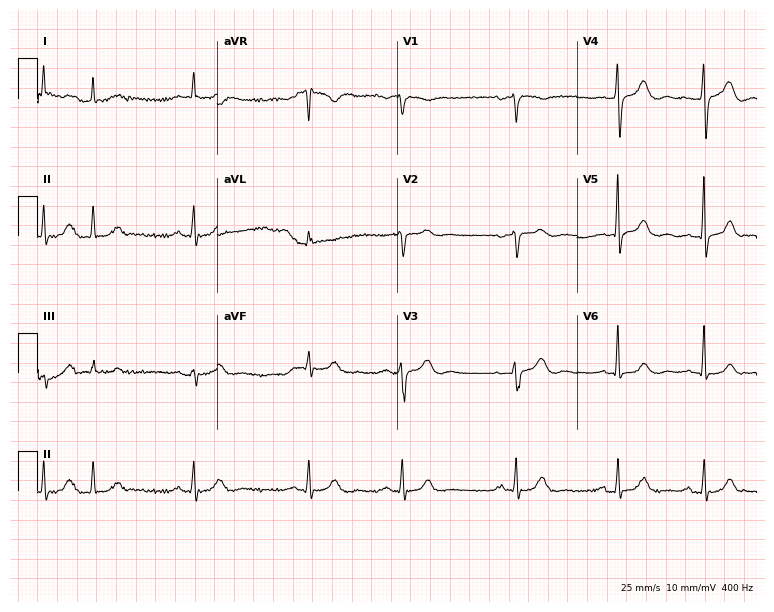
12-lead ECG from a woman, 71 years old. Recorded interpretation: within normal limits.